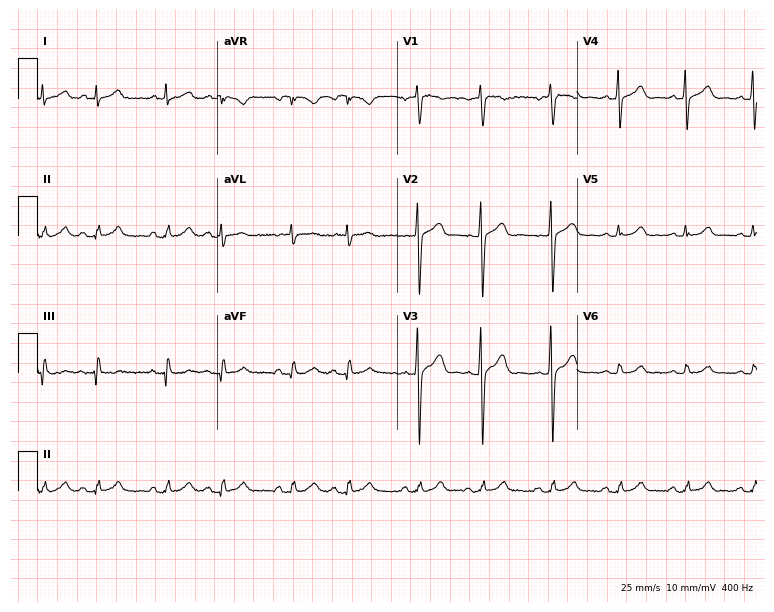
12-lead ECG from a 32-year-old female patient. Screened for six findings — first-degree AV block, right bundle branch block (RBBB), left bundle branch block (LBBB), sinus bradycardia, atrial fibrillation (AF), sinus tachycardia — none is recorded. Findings outside these six are not listed.